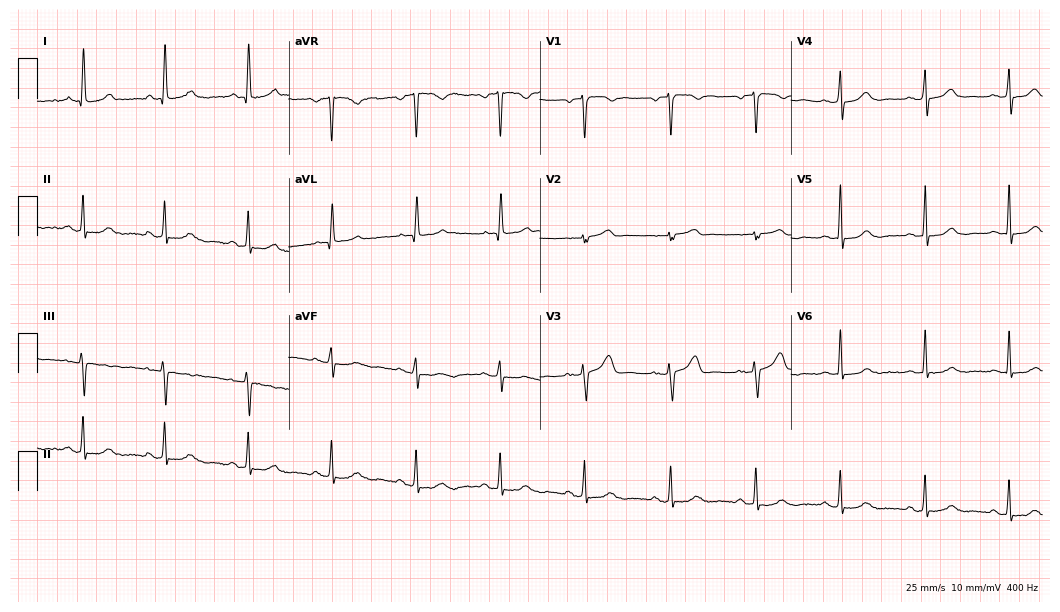
Electrocardiogram (10.2-second recording at 400 Hz), a female, 65 years old. Overall reading on record: normal ECG.